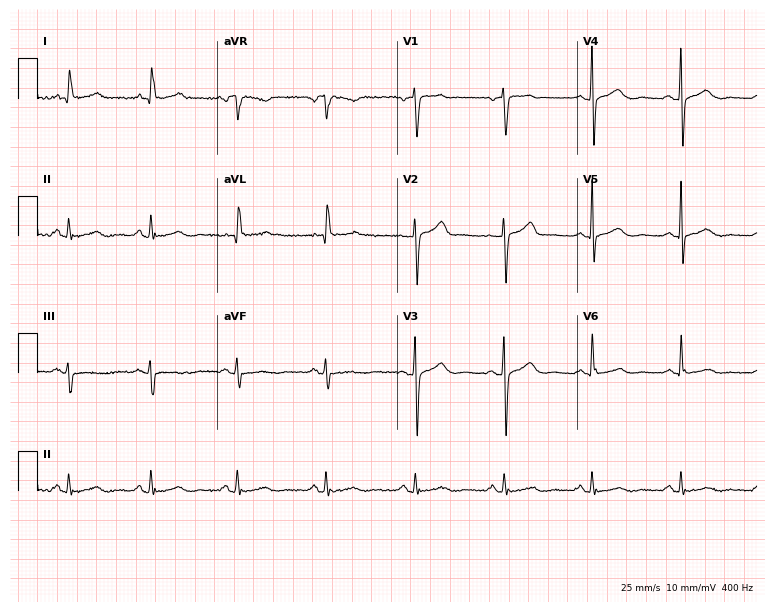
Standard 12-lead ECG recorded from a female patient, 70 years old. Read as a normal ECG.